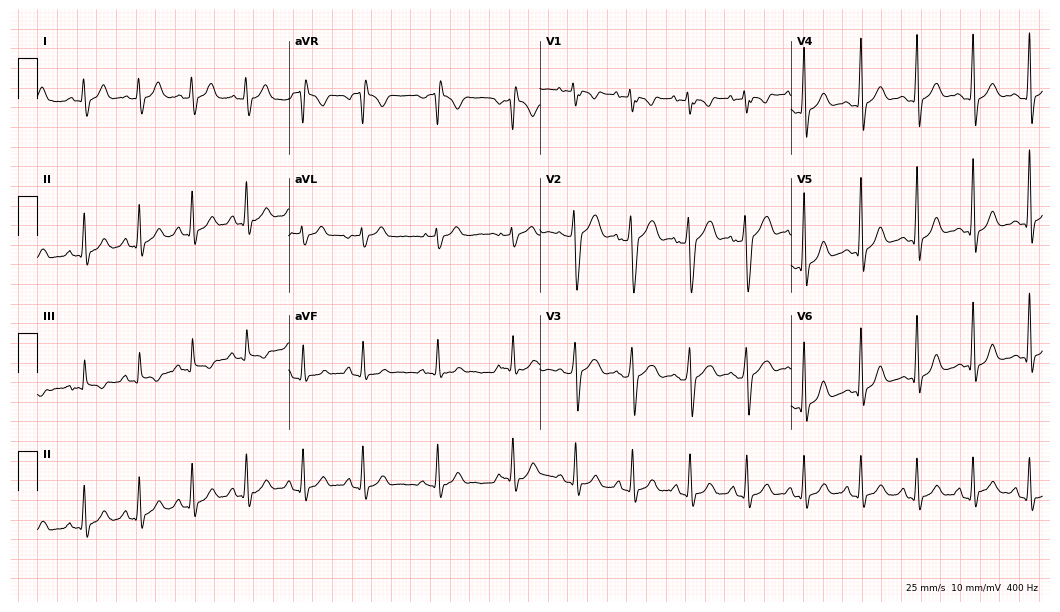
Electrocardiogram (10.2-second recording at 400 Hz), a 23-year-old male patient. Of the six screened findings (first-degree AV block, right bundle branch block, left bundle branch block, sinus bradycardia, atrial fibrillation, sinus tachycardia), none is recorded.